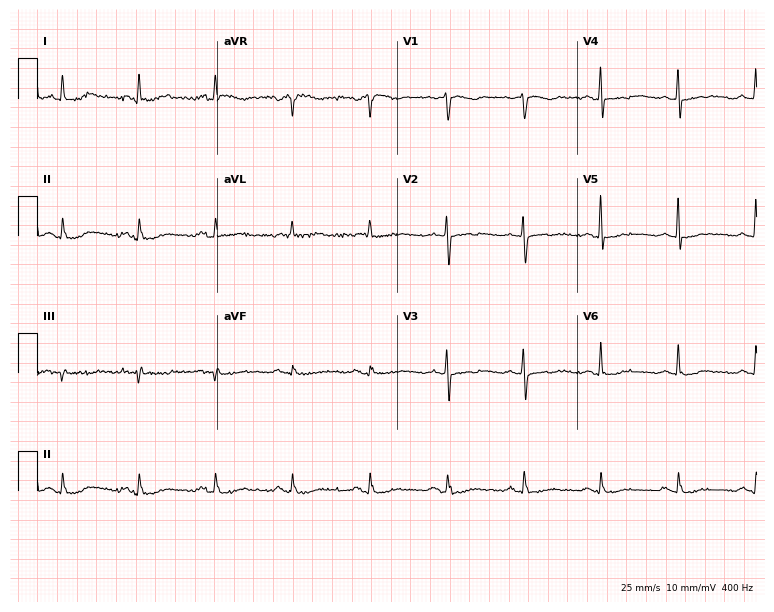
Standard 12-lead ECG recorded from a man, 75 years old (7.3-second recording at 400 Hz). None of these six findings is recorded: first-degree AV block, right bundle branch block, left bundle branch block, sinus bradycardia, atrial fibrillation, sinus tachycardia. Only these six findings were labelled.